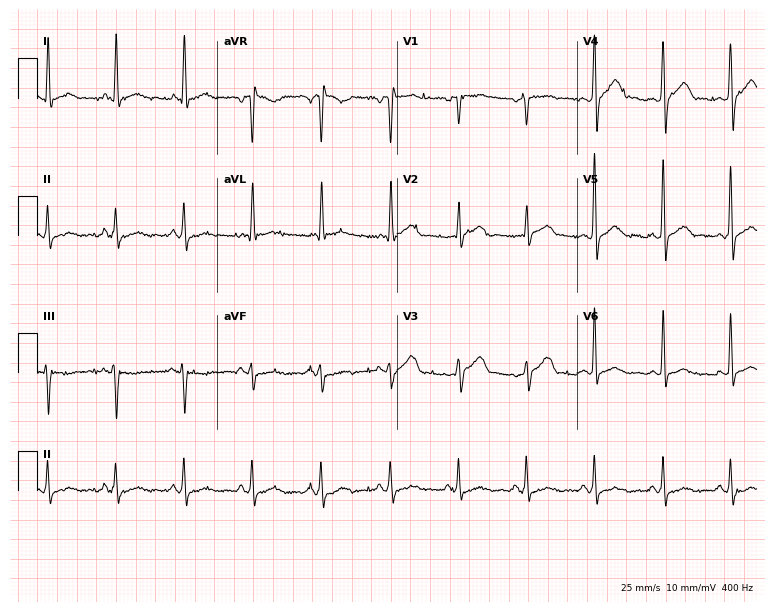
12-lead ECG from a 70-year-old male patient. Recorded interpretation: within normal limits.